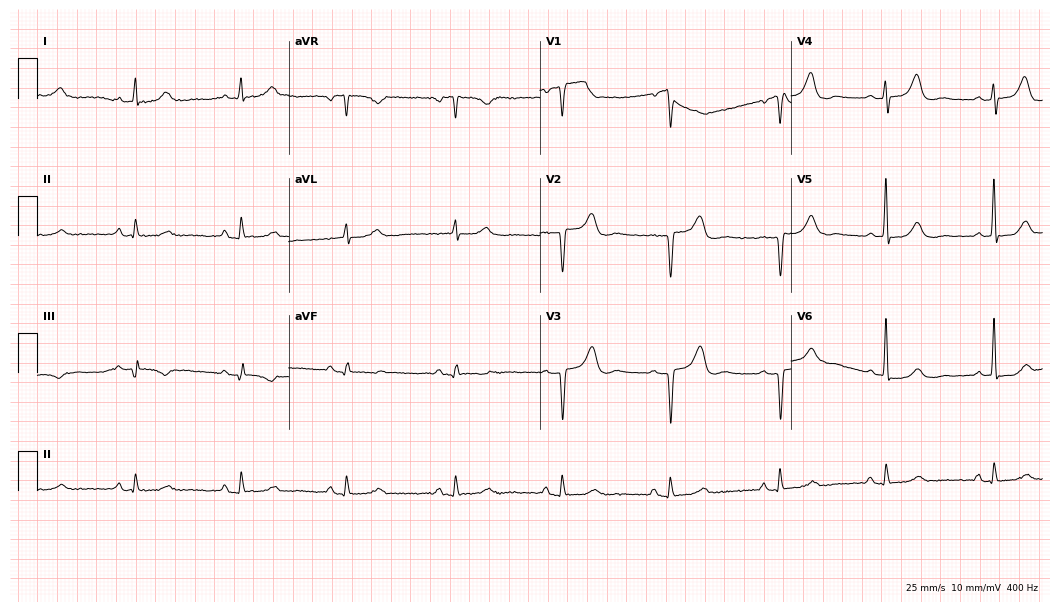
12-lead ECG from a female patient, 78 years old. Screened for six findings — first-degree AV block, right bundle branch block, left bundle branch block, sinus bradycardia, atrial fibrillation, sinus tachycardia — none is recorded. Only these six findings were labelled.